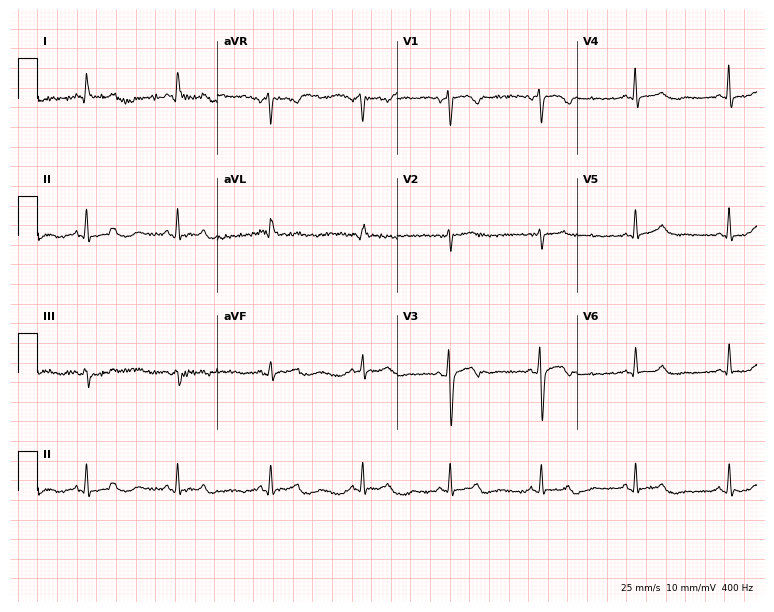
12-lead ECG from a 62-year-old woman. Screened for six findings — first-degree AV block, right bundle branch block (RBBB), left bundle branch block (LBBB), sinus bradycardia, atrial fibrillation (AF), sinus tachycardia — none is recorded.